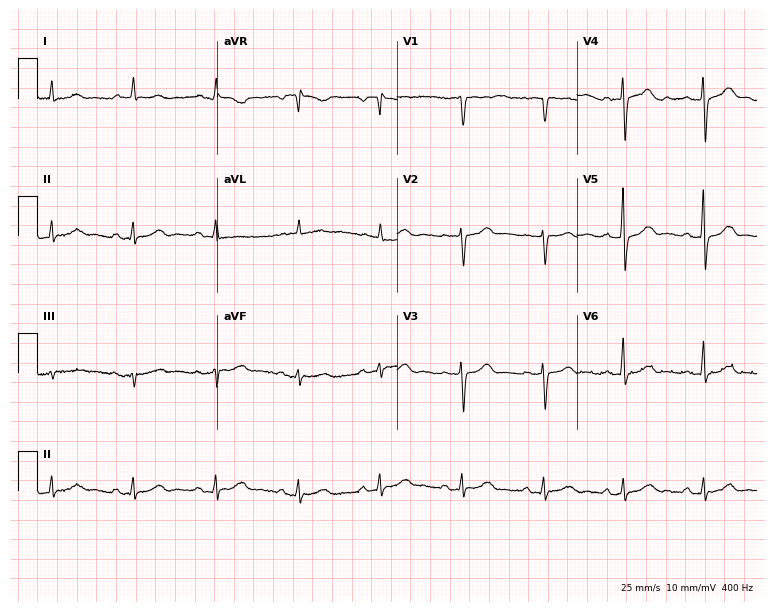
Electrocardiogram (7.3-second recording at 400 Hz), a woman, 73 years old. Of the six screened findings (first-degree AV block, right bundle branch block, left bundle branch block, sinus bradycardia, atrial fibrillation, sinus tachycardia), none is recorded. Only these six findings were labelled.